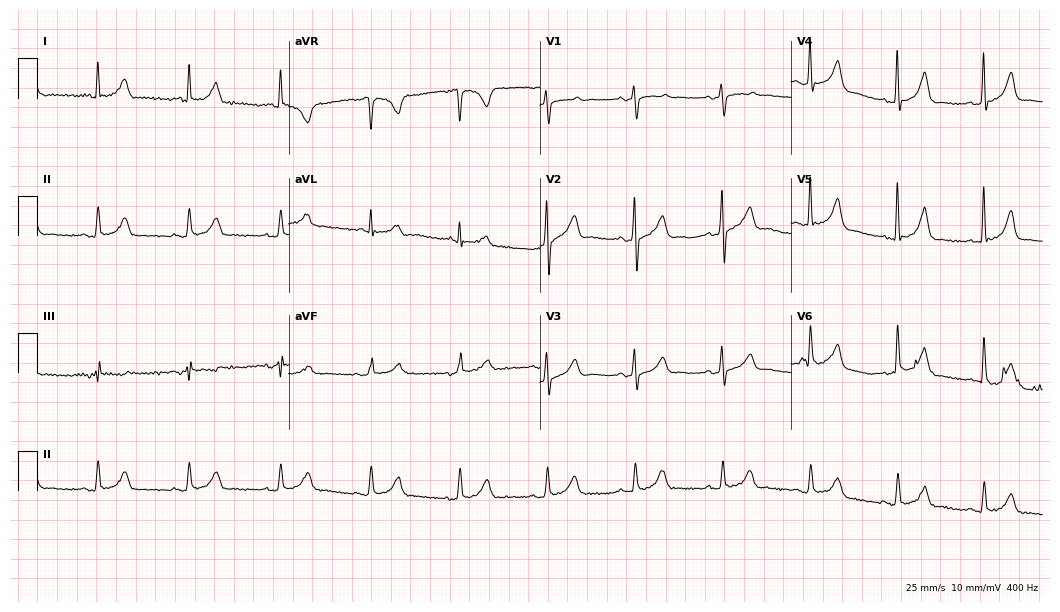
Standard 12-lead ECG recorded from a 67-year-old woman. Read as a normal ECG.